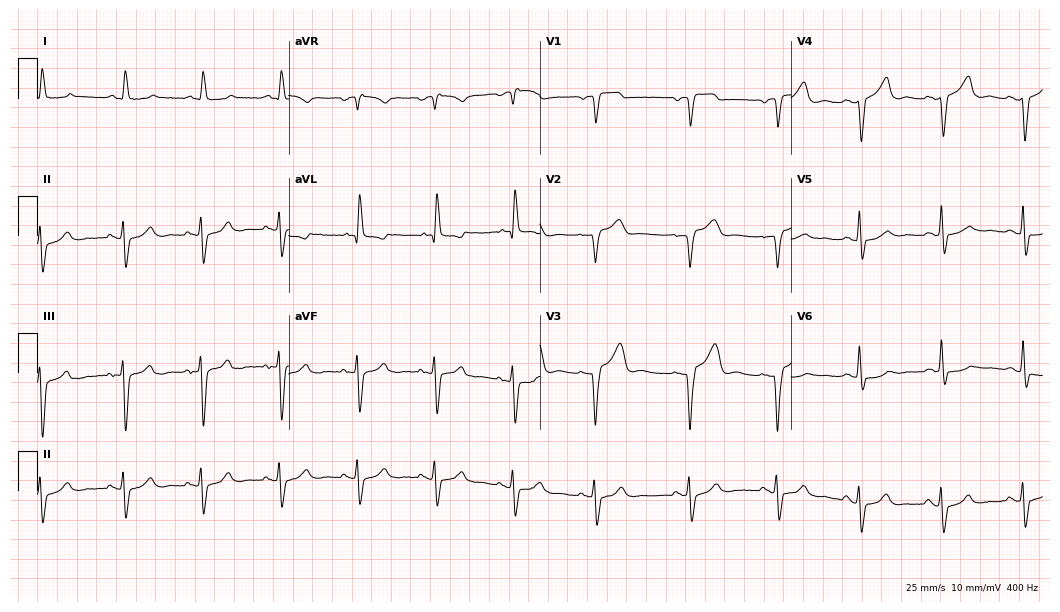
ECG (10.2-second recording at 400 Hz) — a female patient, 78 years old. Screened for six findings — first-degree AV block, right bundle branch block (RBBB), left bundle branch block (LBBB), sinus bradycardia, atrial fibrillation (AF), sinus tachycardia — none is recorded.